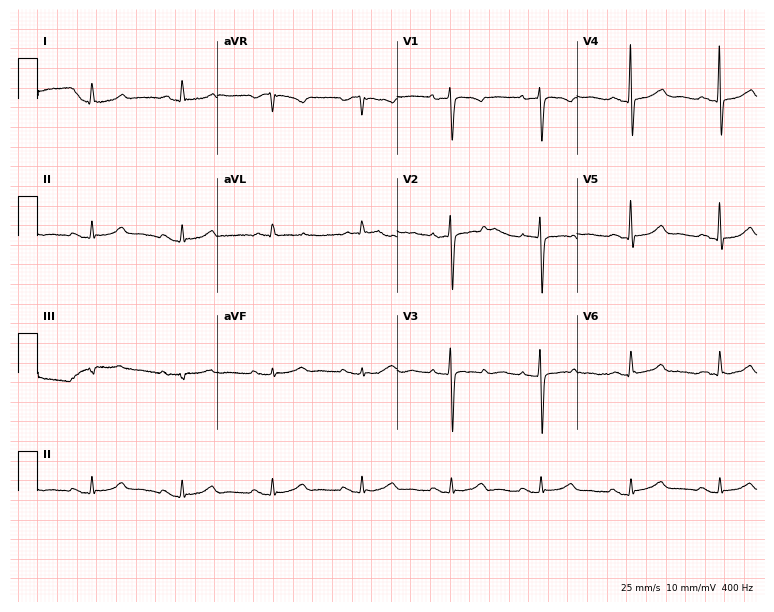
Standard 12-lead ECG recorded from a 68-year-old woman (7.3-second recording at 400 Hz). Read as a normal ECG.